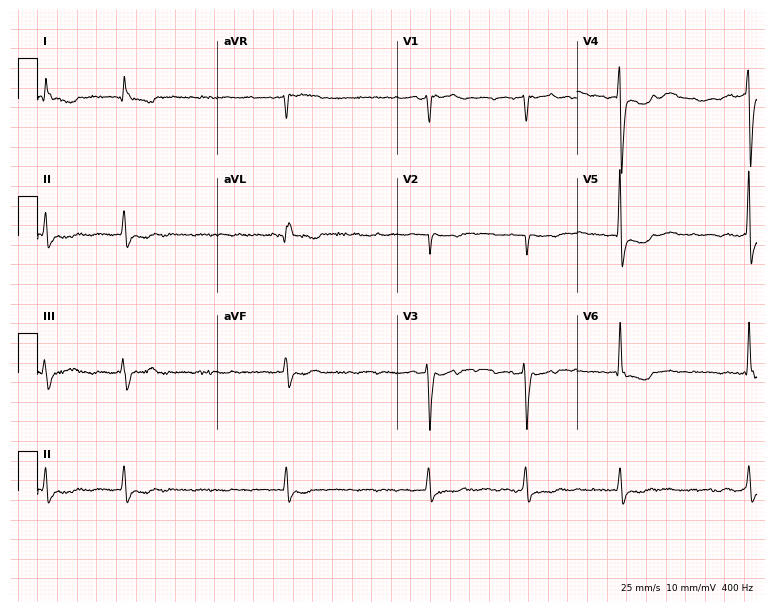
ECG — an 82-year-old woman. Findings include atrial fibrillation (AF).